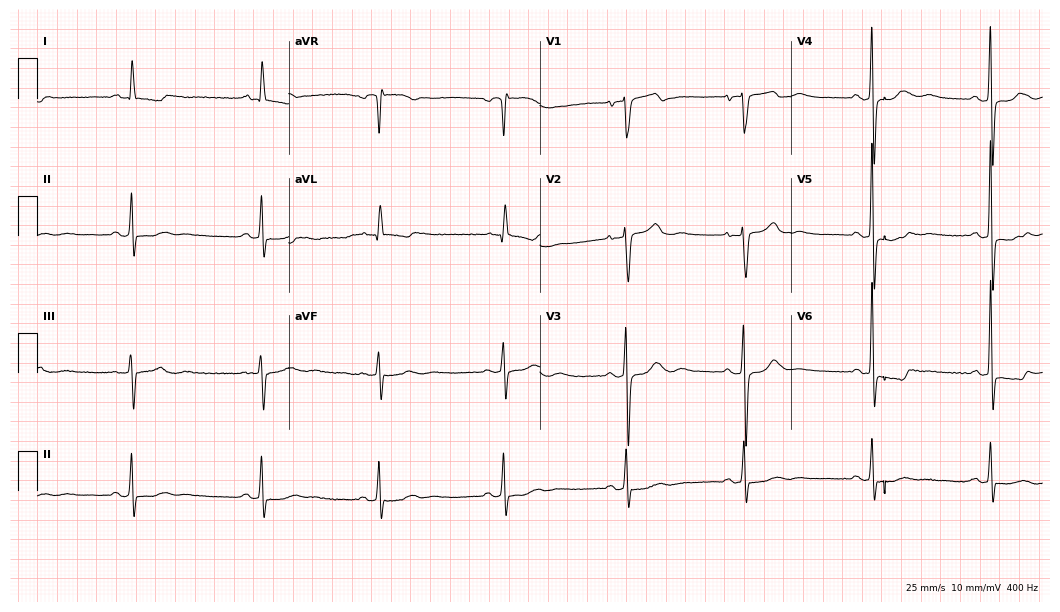
Standard 12-lead ECG recorded from a 72-year-old female (10.2-second recording at 400 Hz). The tracing shows sinus bradycardia (a sinus rate of 50 beats per minute or less).